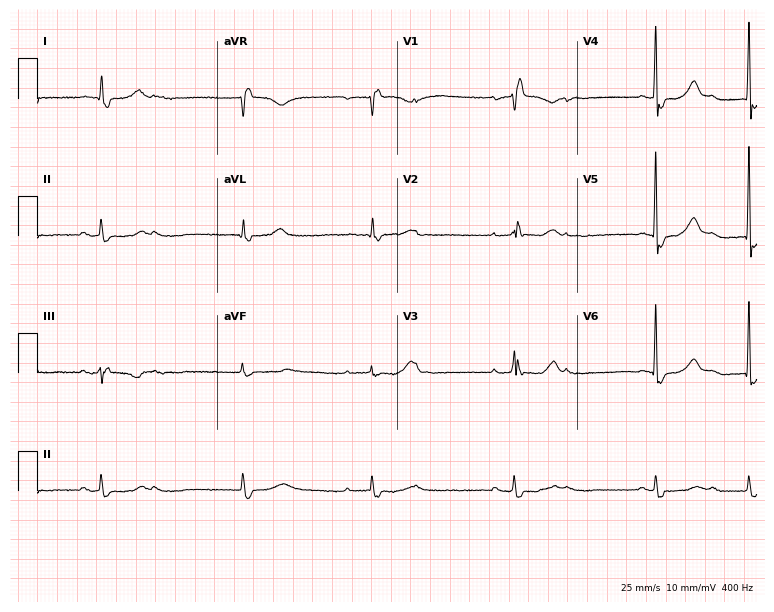
Standard 12-lead ECG recorded from a woman, 78 years old. The tracing shows right bundle branch block, atrial fibrillation.